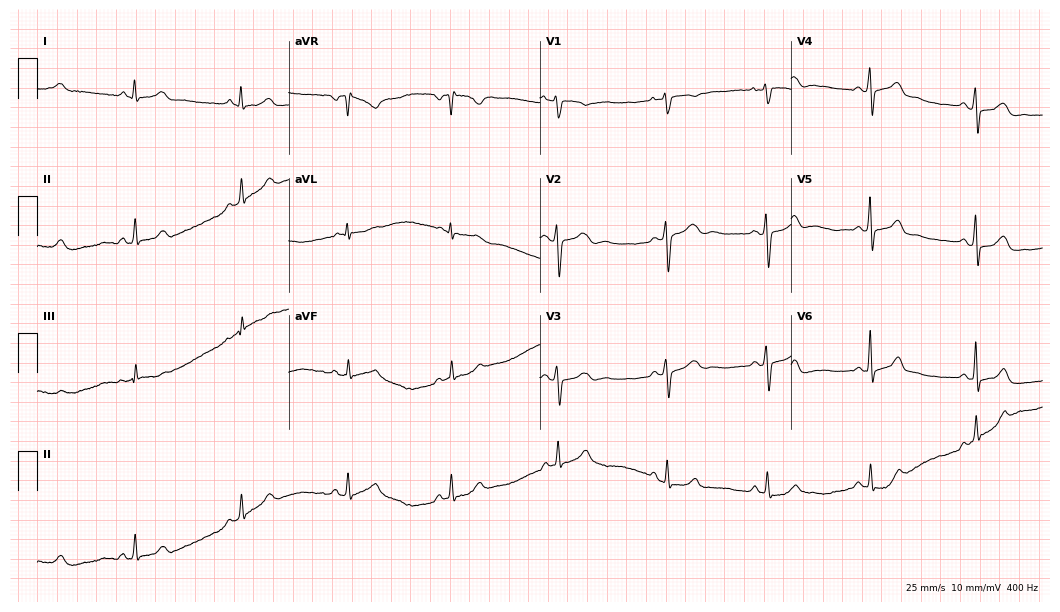
Electrocardiogram, a female, 26 years old. Overall reading on record: normal ECG.